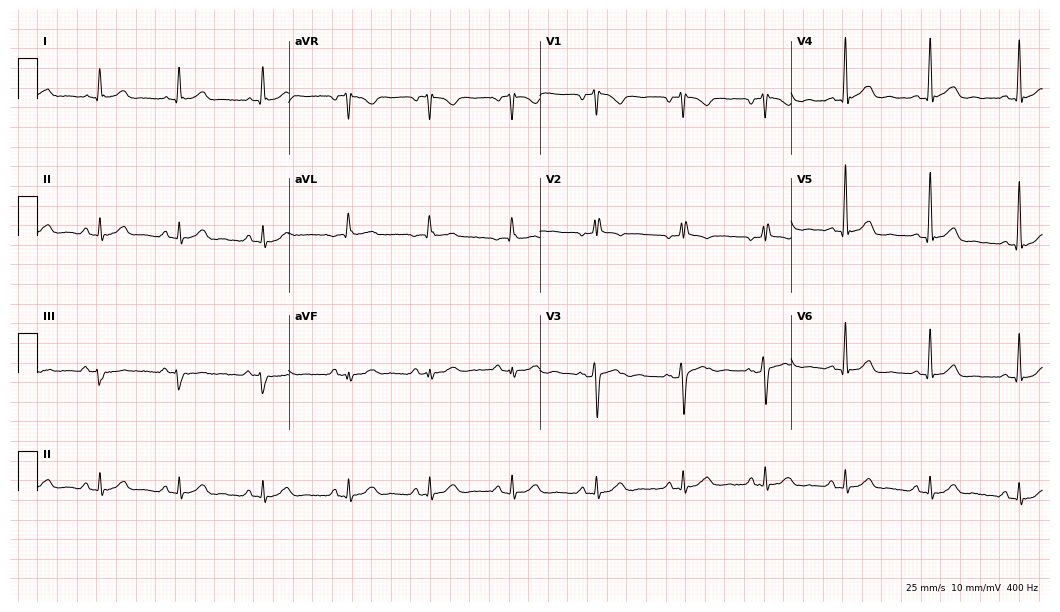
Resting 12-lead electrocardiogram (10.2-second recording at 400 Hz). Patient: a male, 45 years old. None of these six findings is recorded: first-degree AV block, right bundle branch block, left bundle branch block, sinus bradycardia, atrial fibrillation, sinus tachycardia.